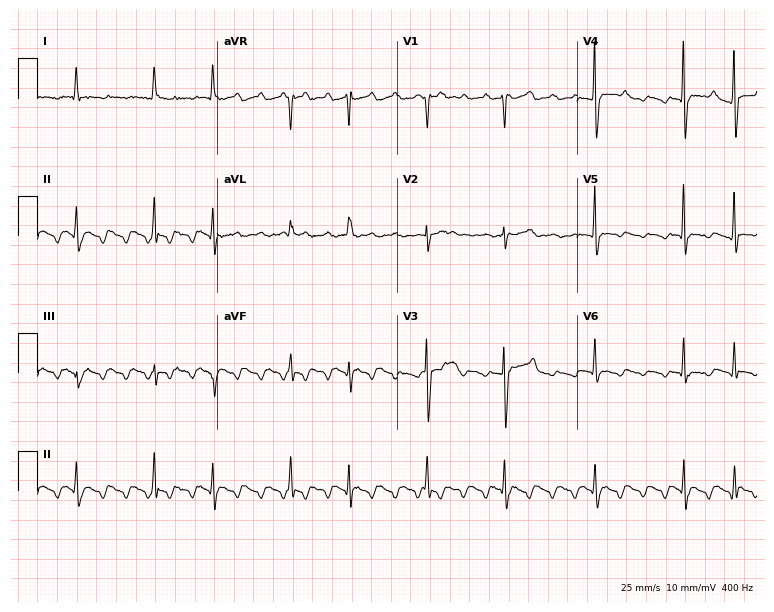
Resting 12-lead electrocardiogram. Patient: a man, 57 years old. None of these six findings is recorded: first-degree AV block, right bundle branch block, left bundle branch block, sinus bradycardia, atrial fibrillation, sinus tachycardia. Only these six findings were labelled.